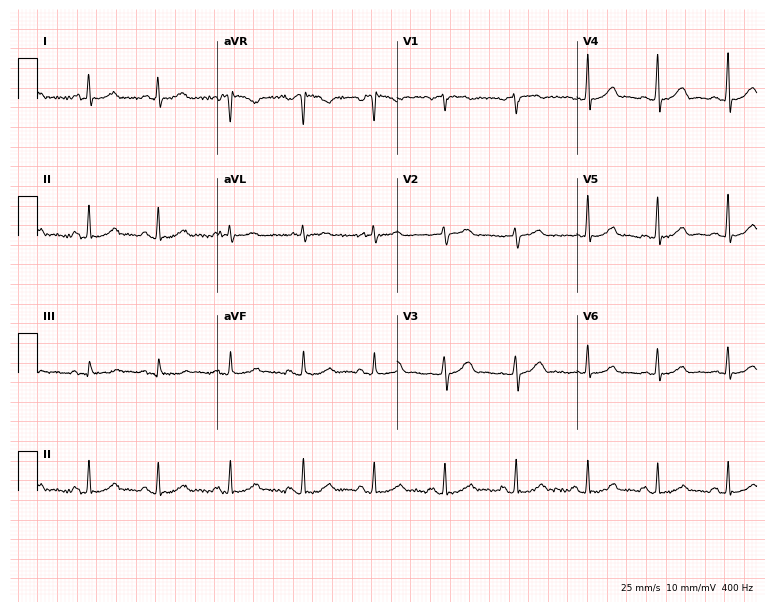
ECG (7.3-second recording at 400 Hz) — a 64-year-old female patient. Labelled as a normal ECG.